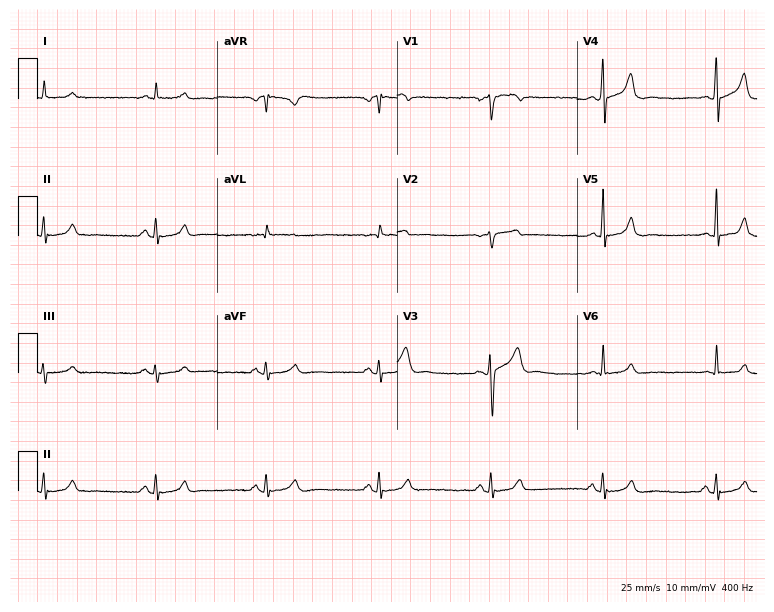
12-lead ECG from a 65-year-old male. Recorded interpretation: within normal limits.